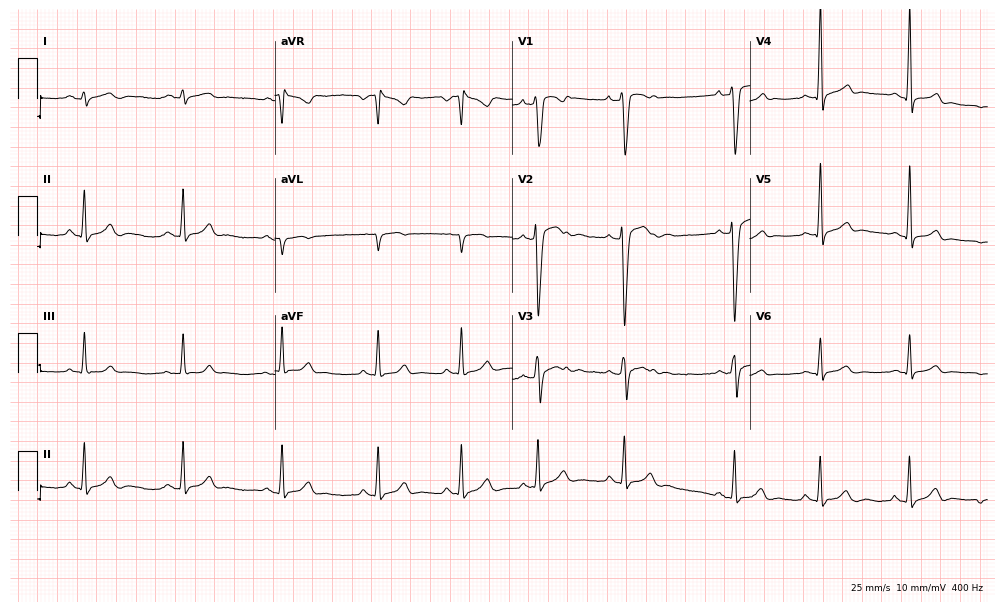
12-lead ECG from a 20-year-old male. Recorded interpretation: within normal limits.